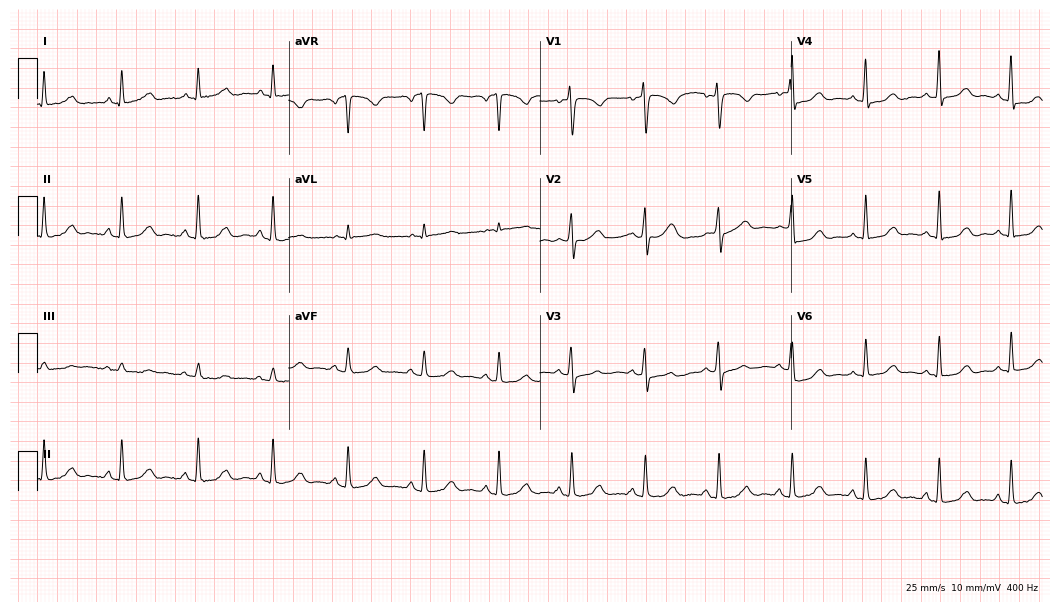
Standard 12-lead ECG recorded from a woman, 56 years old. Read as a normal ECG.